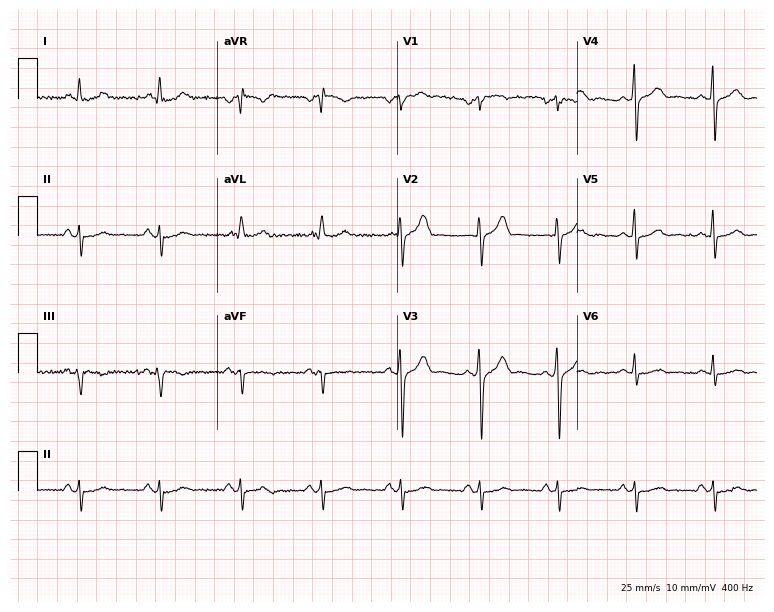
ECG — a male, 58 years old. Screened for six findings — first-degree AV block, right bundle branch block, left bundle branch block, sinus bradycardia, atrial fibrillation, sinus tachycardia — none is recorded. Other findings, if any, are not listed.